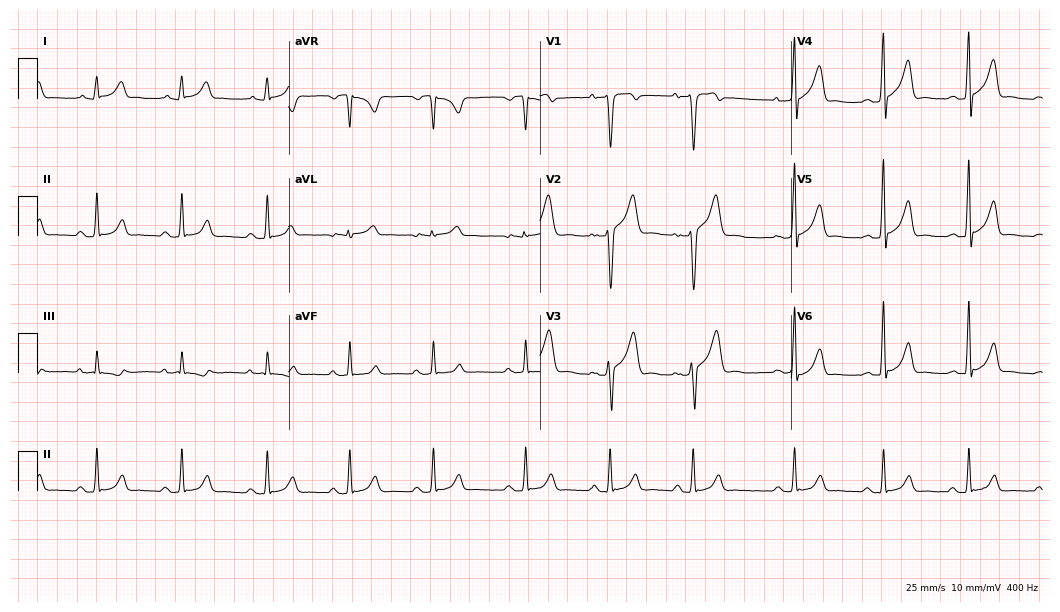
12-lead ECG from a male, 18 years old. No first-degree AV block, right bundle branch block, left bundle branch block, sinus bradycardia, atrial fibrillation or sinus tachycardia recorded for this tracing. Only these six findings were labelled.